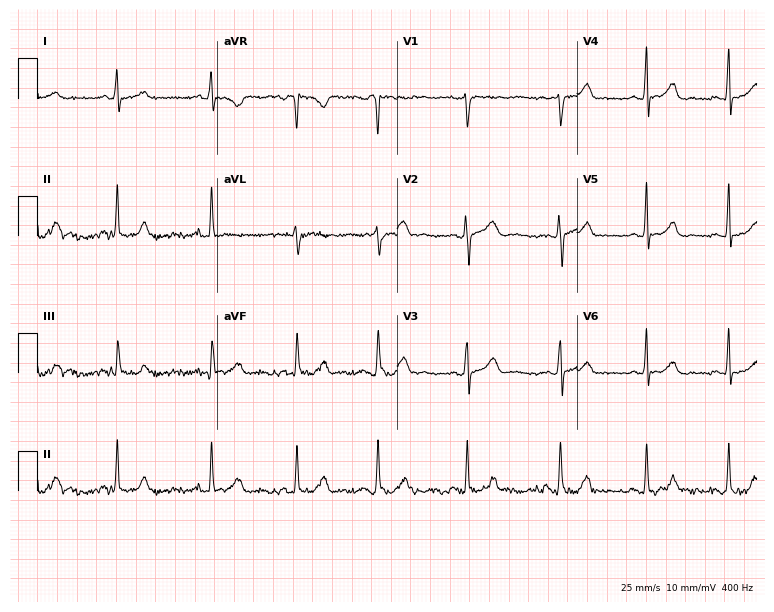
12-lead ECG from a 21-year-old woman. Recorded interpretation: within normal limits.